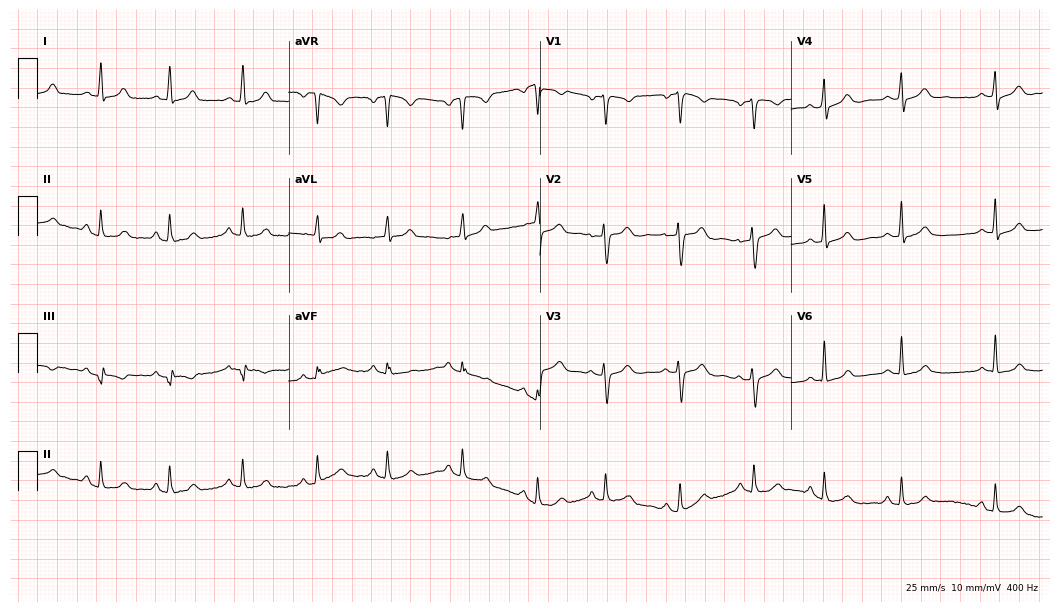
12-lead ECG from a female, 42 years old. Screened for six findings — first-degree AV block, right bundle branch block (RBBB), left bundle branch block (LBBB), sinus bradycardia, atrial fibrillation (AF), sinus tachycardia — none is recorded.